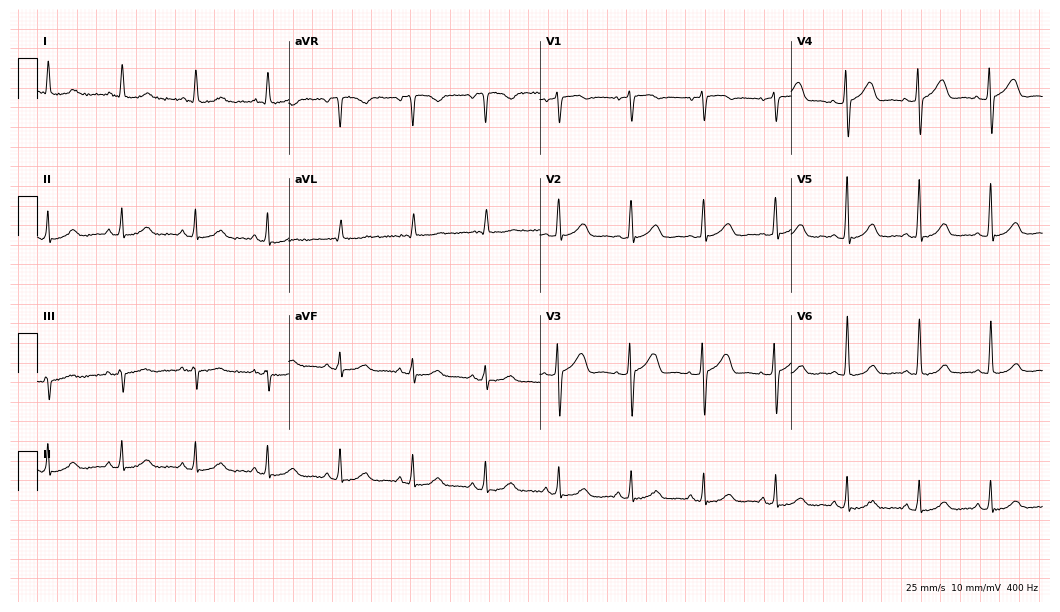
12-lead ECG from a woman, 64 years old. Labelled as a normal ECG.